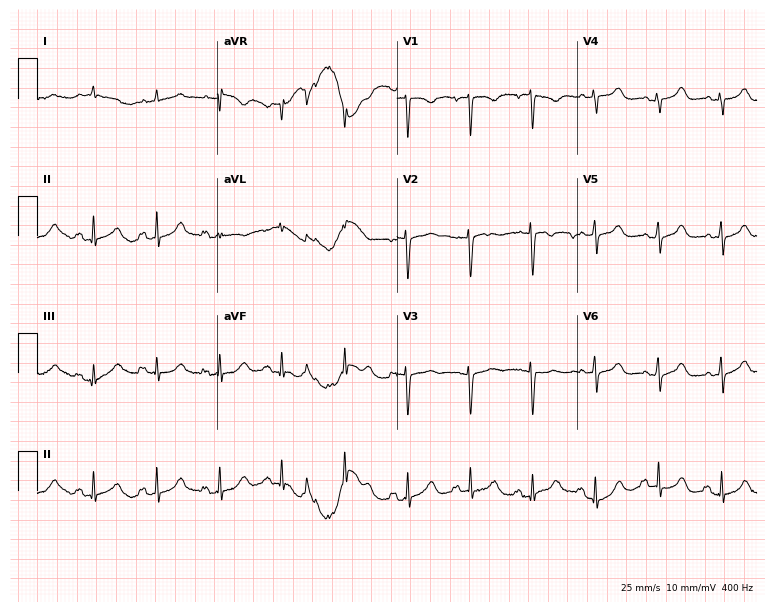
Electrocardiogram, an 84-year-old female. Of the six screened findings (first-degree AV block, right bundle branch block (RBBB), left bundle branch block (LBBB), sinus bradycardia, atrial fibrillation (AF), sinus tachycardia), none is recorded. Only these six findings were labelled.